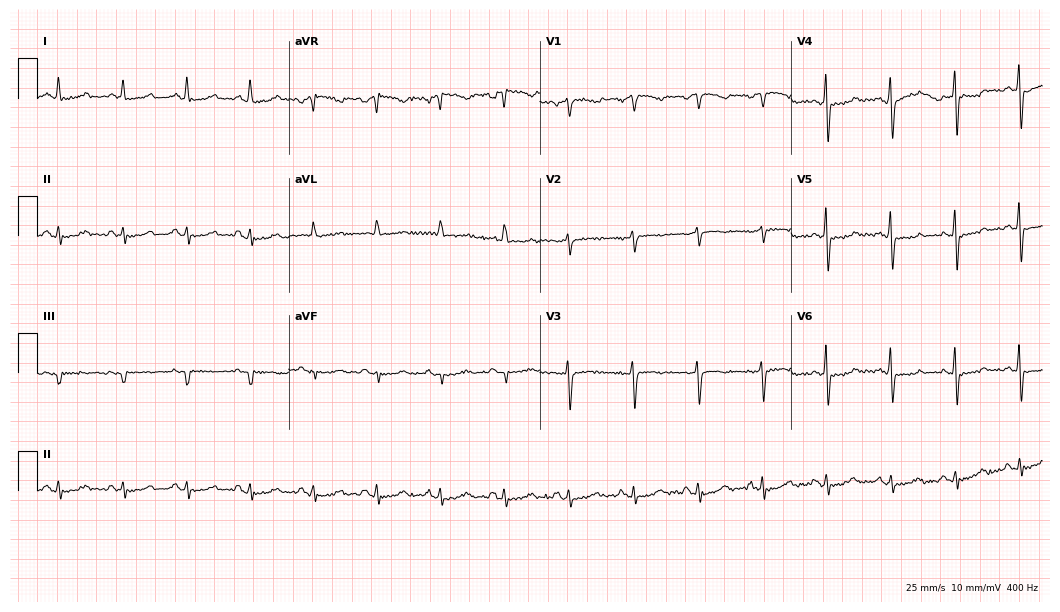
ECG — a female patient, 59 years old. Screened for six findings — first-degree AV block, right bundle branch block, left bundle branch block, sinus bradycardia, atrial fibrillation, sinus tachycardia — none is recorded. Findings outside these six are not listed.